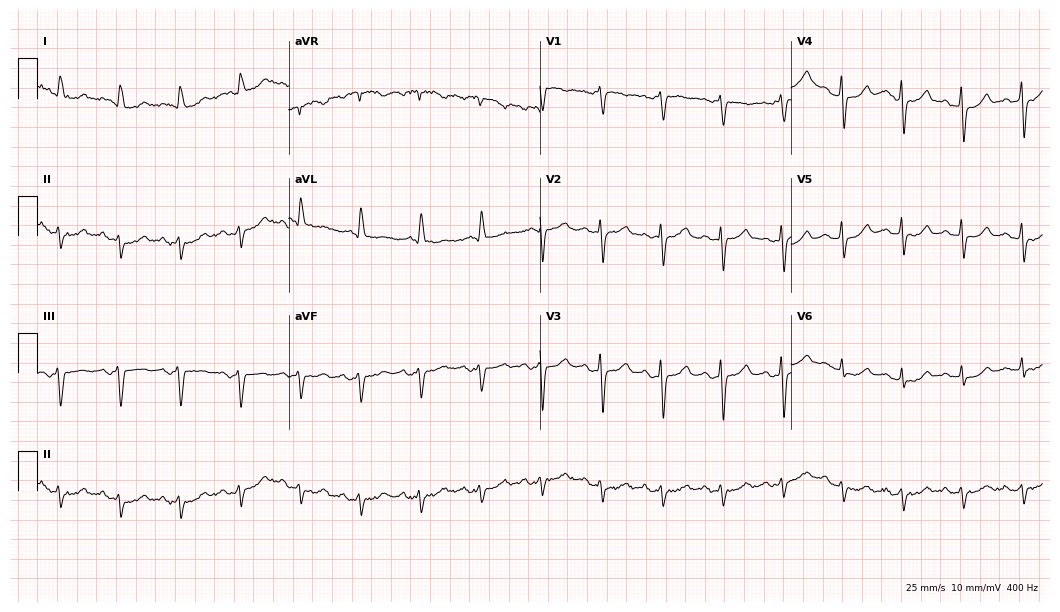
Standard 12-lead ECG recorded from an 81-year-old man. Read as a normal ECG.